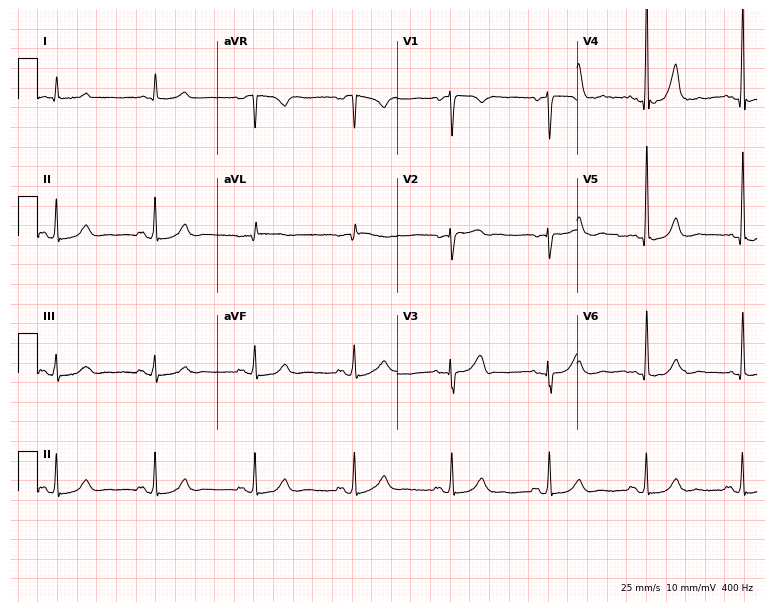
Resting 12-lead electrocardiogram (7.3-second recording at 400 Hz). Patient: a male, 67 years old. Read as a normal ECG.